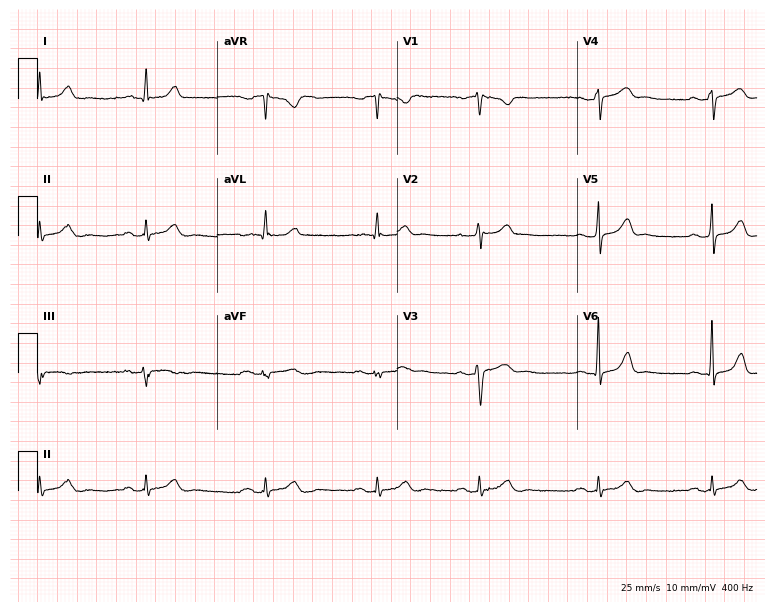
12-lead ECG from a male patient, 49 years old. Recorded interpretation: within normal limits.